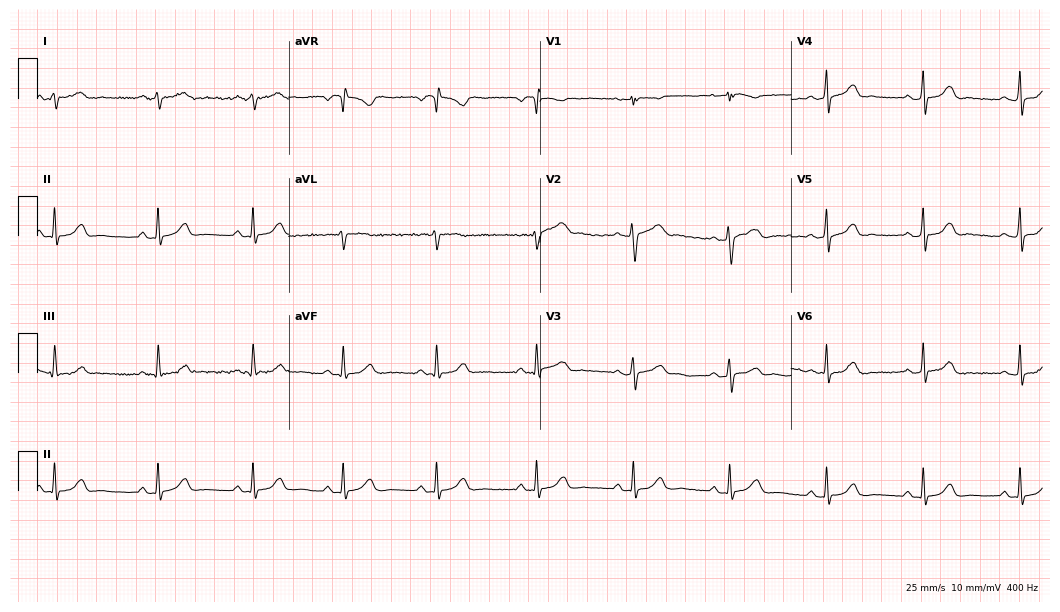
Electrocardiogram (10.2-second recording at 400 Hz), a female patient, 33 years old. Overall reading on record: normal ECG.